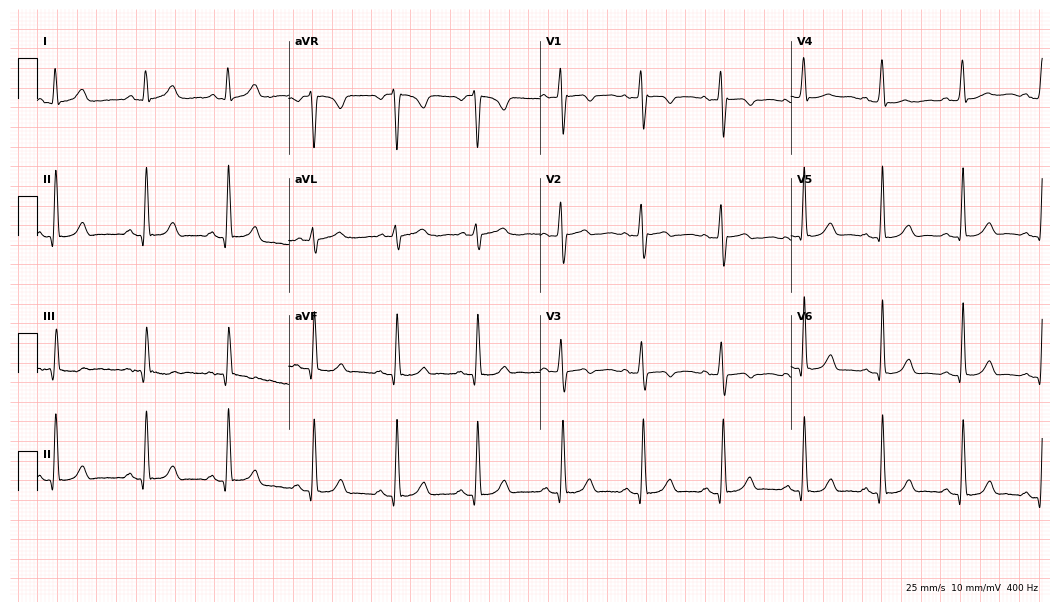
Resting 12-lead electrocardiogram (10.2-second recording at 400 Hz). Patient: a female, 25 years old. Read as a normal ECG.